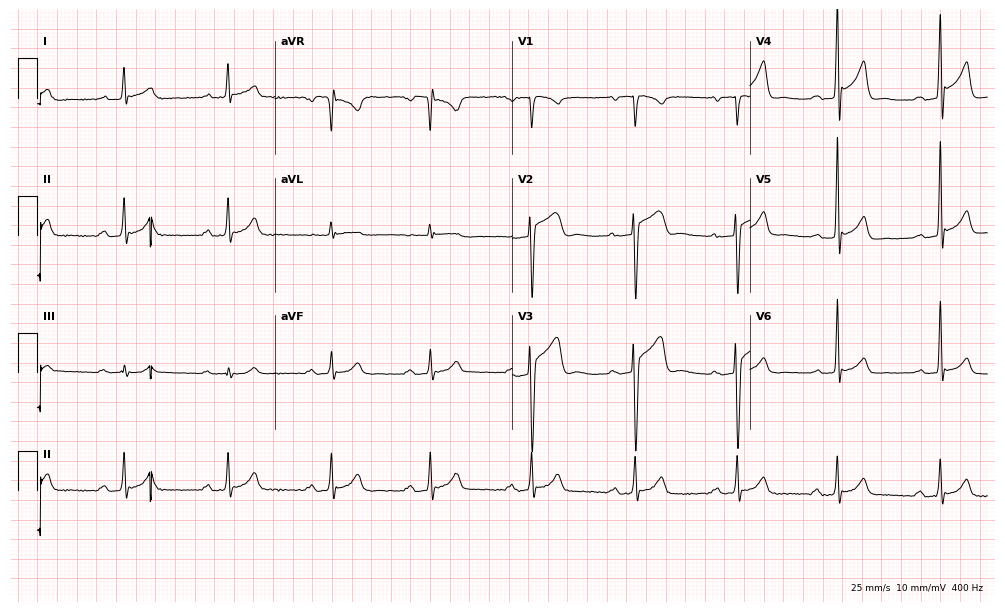
12-lead ECG from a 51-year-old man. Shows first-degree AV block.